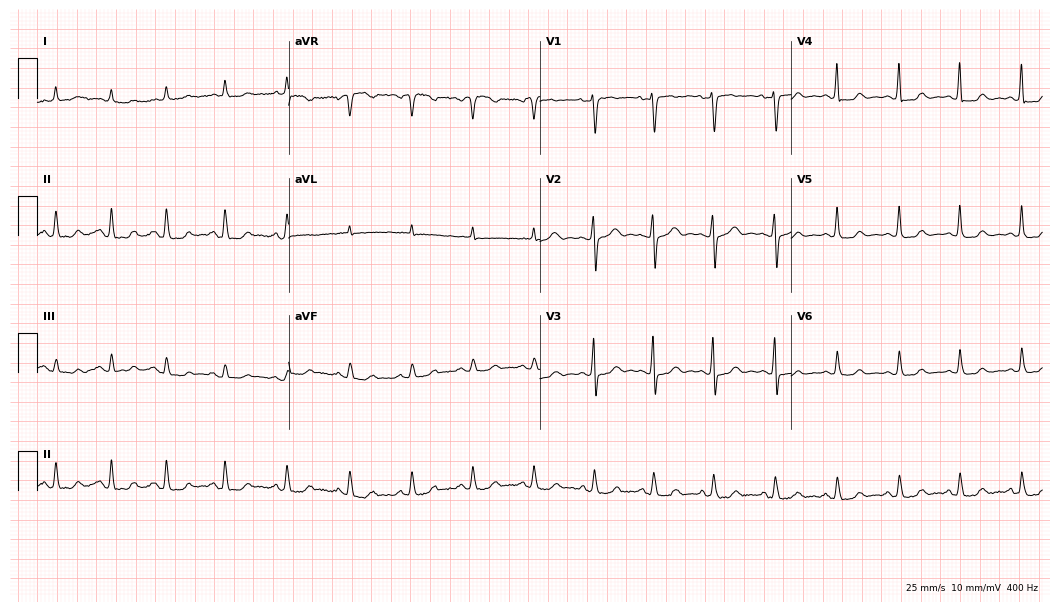
12-lead ECG from a female, 47 years old. No first-degree AV block, right bundle branch block, left bundle branch block, sinus bradycardia, atrial fibrillation or sinus tachycardia recorded for this tracing. Findings outside these six are not listed.